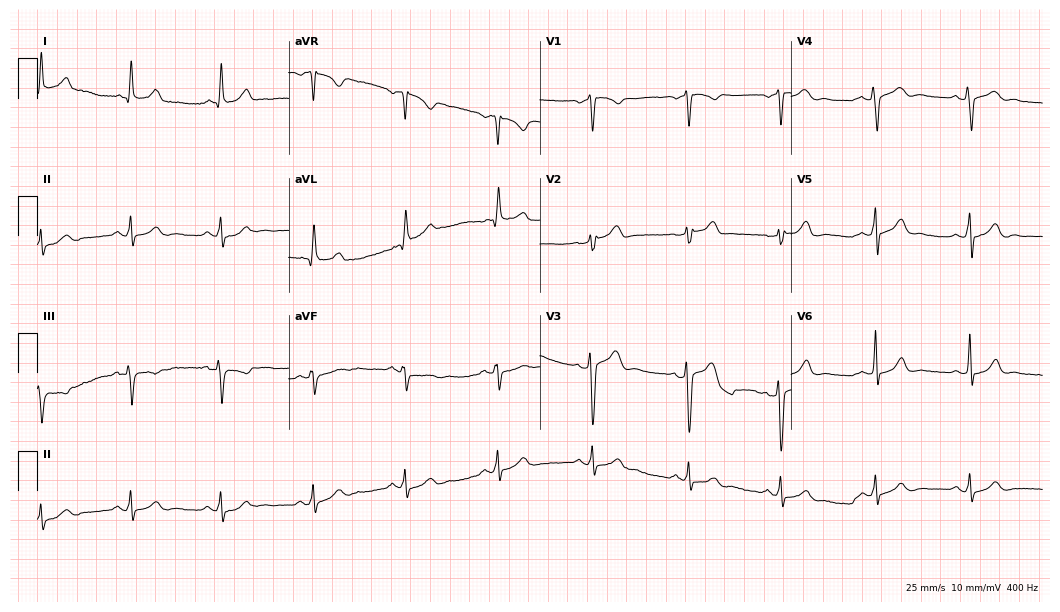
Electrocardiogram, a 47-year-old male. Overall reading on record: normal ECG.